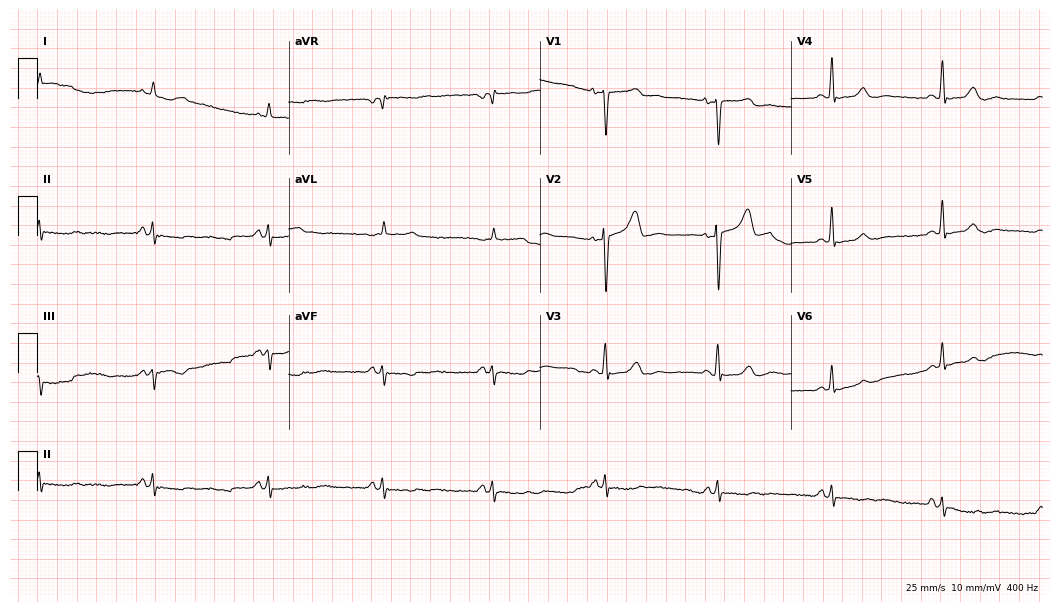
Resting 12-lead electrocardiogram. Patient: a 51-year-old woman. None of these six findings is recorded: first-degree AV block, right bundle branch block, left bundle branch block, sinus bradycardia, atrial fibrillation, sinus tachycardia. Only these six findings were labelled.